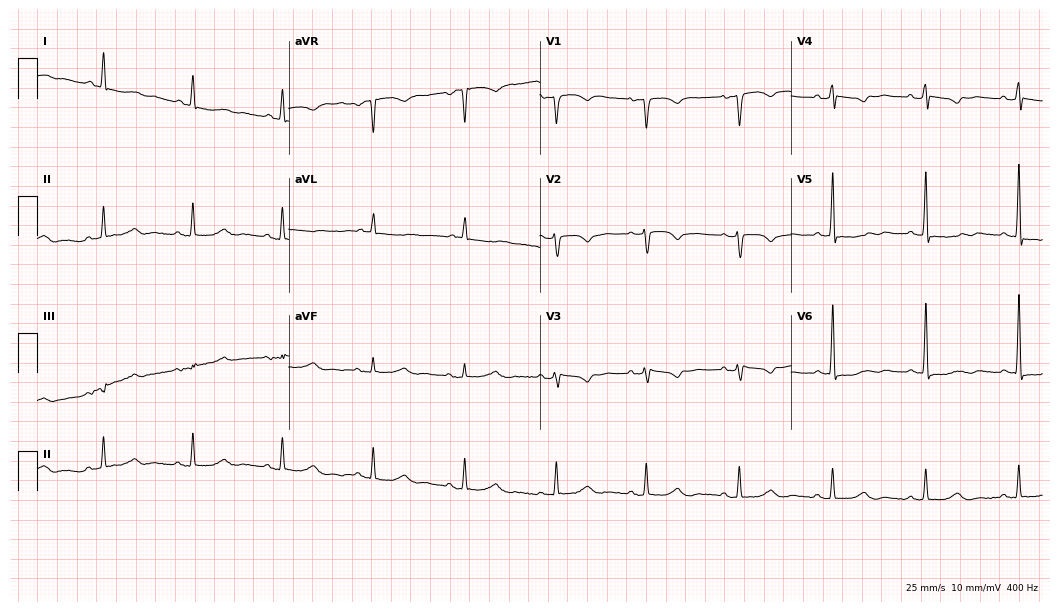
12-lead ECG (10.2-second recording at 400 Hz) from a female patient, 72 years old. Screened for six findings — first-degree AV block, right bundle branch block, left bundle branch block, sinus bradycardia, atrial fibrillation, sinus tachycardia — none is recorded.